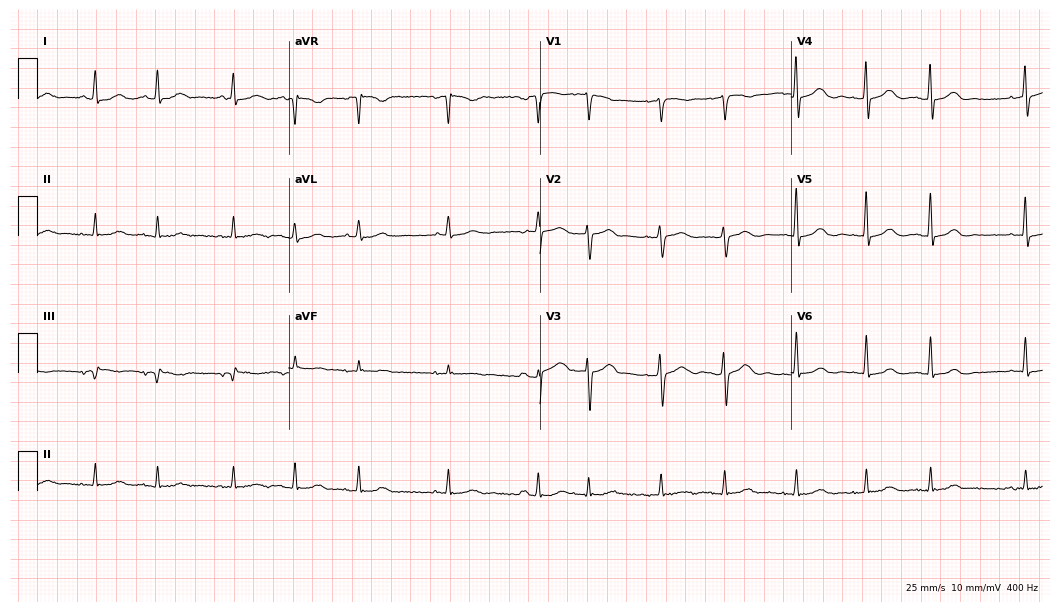
12-lead ECG from a woman, 85 years old. Shows atrial fibrillation.